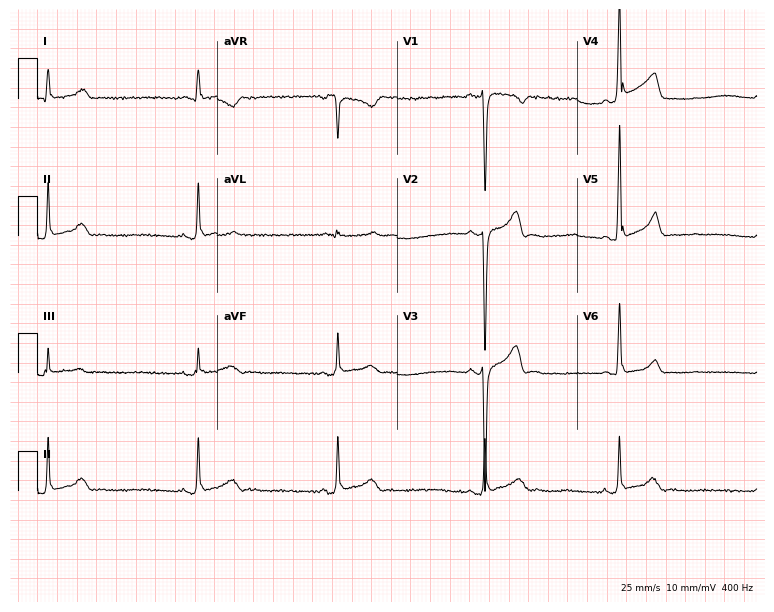
Resting 12-lead electrocardiogram (7.3-second recording at 400 Hz). Patient: a 26-year-old male. The tracing shows sinus bradycardia (a sinus rate of 50 beats per minute or less).